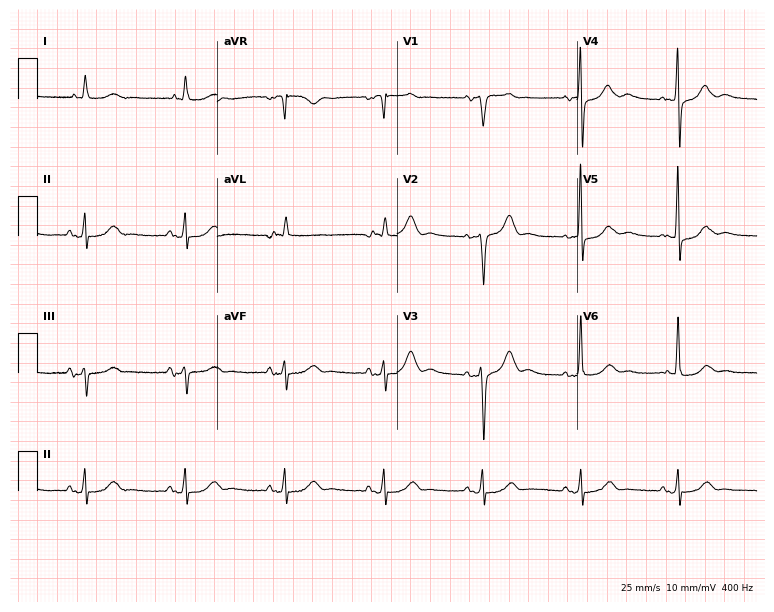
Standard 12-lead ECG recorded from a male, 82 years old (7.3-second recording at 400 Hz). None of these six findings is recorded: first-degree AV block, right bundle branch block, left bundle branch block, sinus bradycardia, atrial fibrillation, sinus tachycardia. Findings outside these six are not listed.